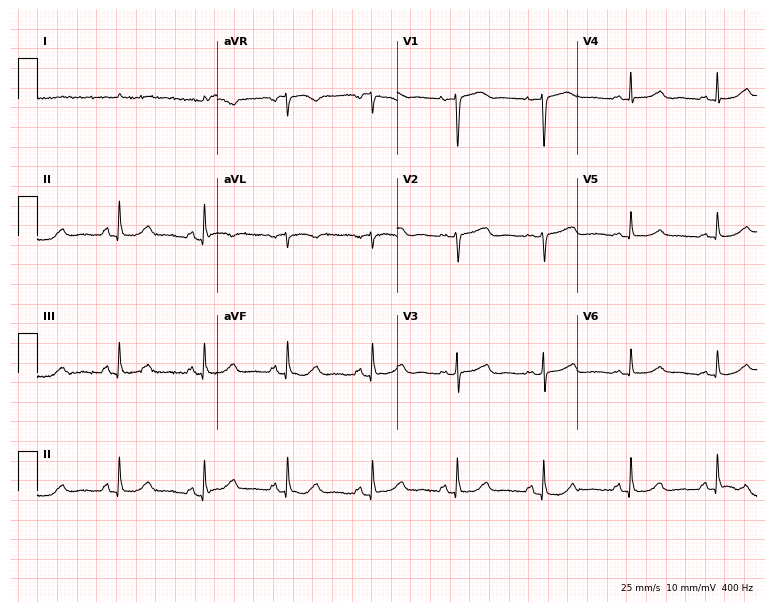
12-lead ECG from a female, 85 years old. Screened for six findings — first-degree AV block, right bundle branch block, left bundle branch block, sinus bradycardia, atrial fibrillation, sinus tachycardia — none is recorded.